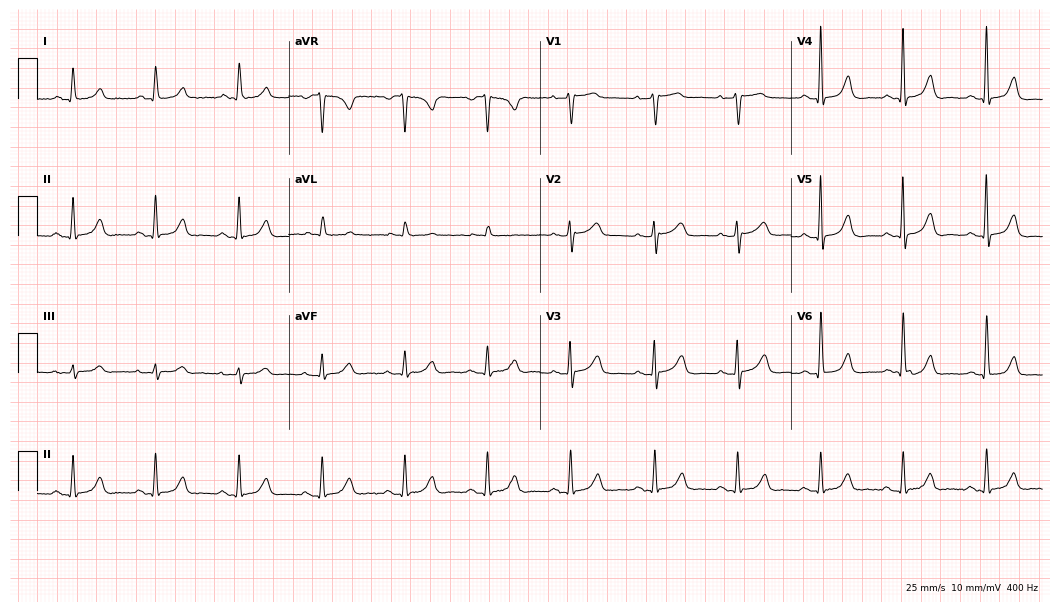
Standard 12-lead ECG recorded from a 72-year-old female patient. Read as a normal ECG.